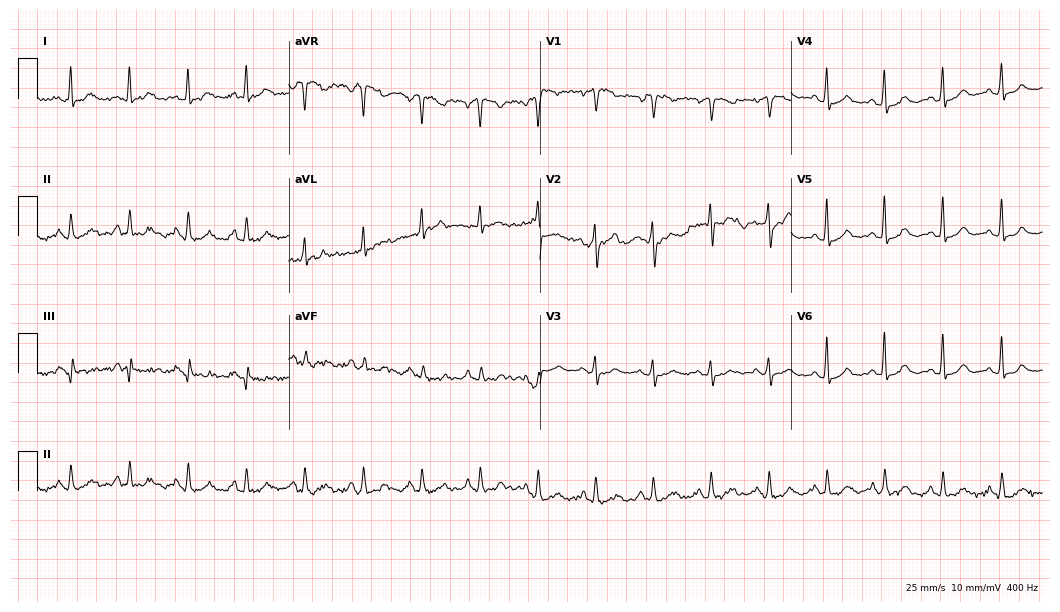
Electrocardiogram (10.2-second recording at 400 Hz), a woman, 68 years old. Overall reading on record: normal ECG.